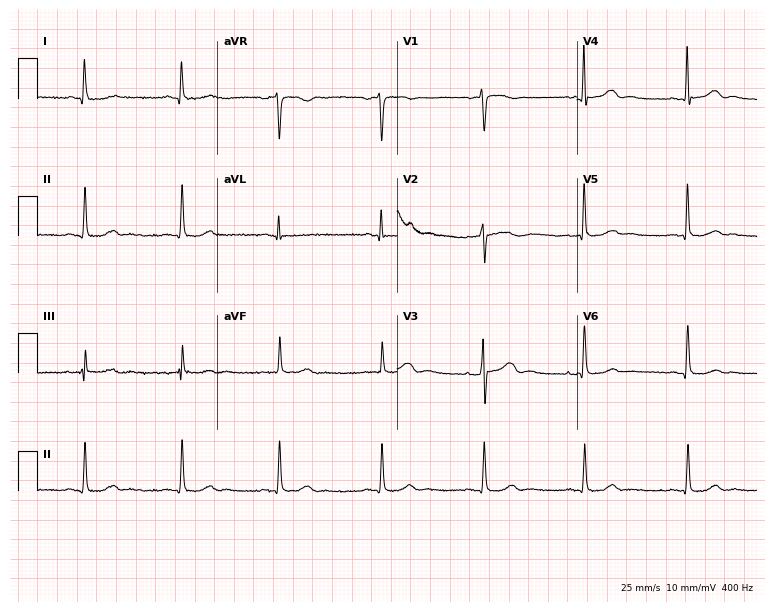
Standard 12-lead ECG recorded from a 59-year-old male patient. None of these six findings is recorded: first-degree AV block, right bundle branch block (RBBB), left bundle branch block (LBBB), sinus bradycardia, atrial fibrillation (AF), sinus tachycardia.